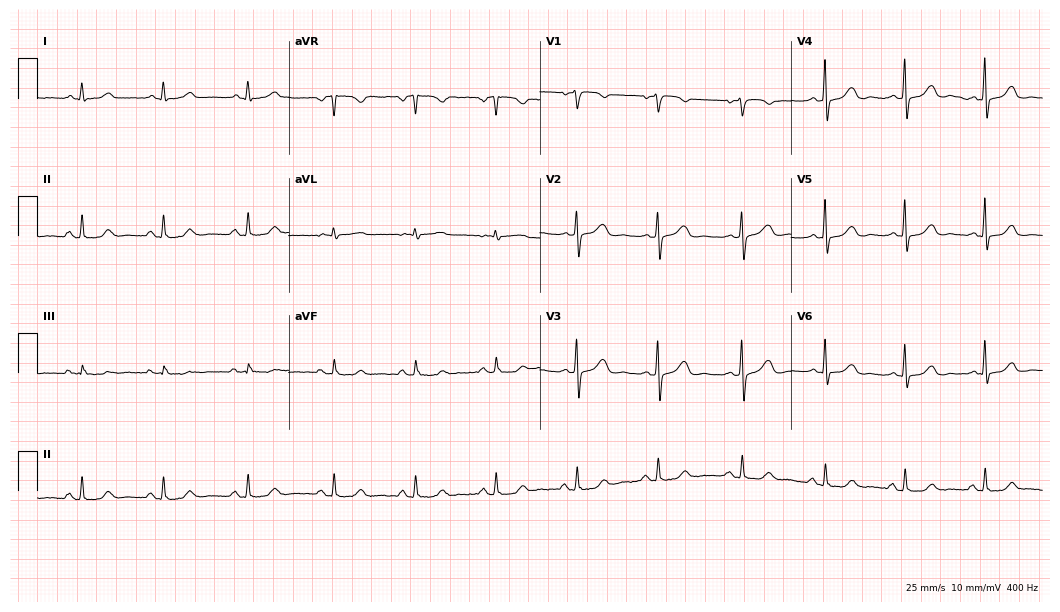
12-lead ECG from a female, 41 years old. Recorded interpretation: within normal limits.